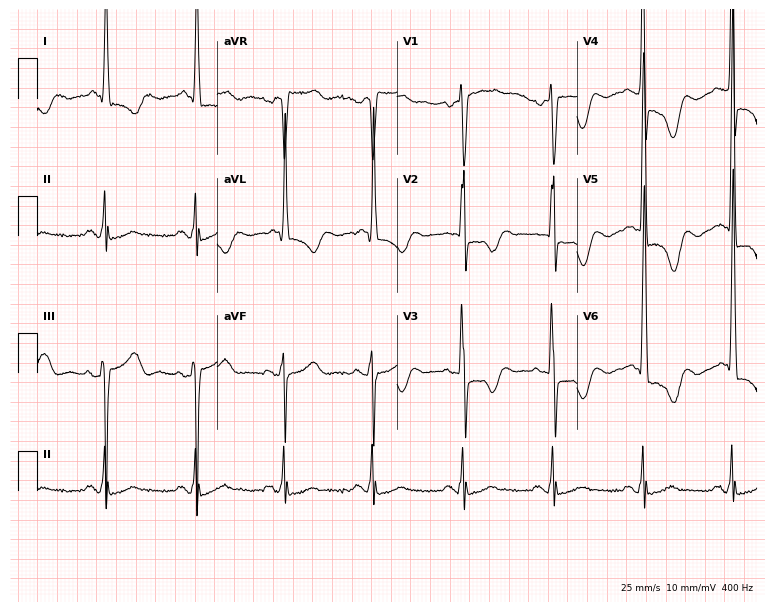
ECG — a woman, 79 years old. Screened for six findings — first-degree AV block, right bundle branch block, left bundle branch block, sinus bradycardia, atrial fibrillation, sinus tachycardia — none is recorded. Findings outside these six are not listed.